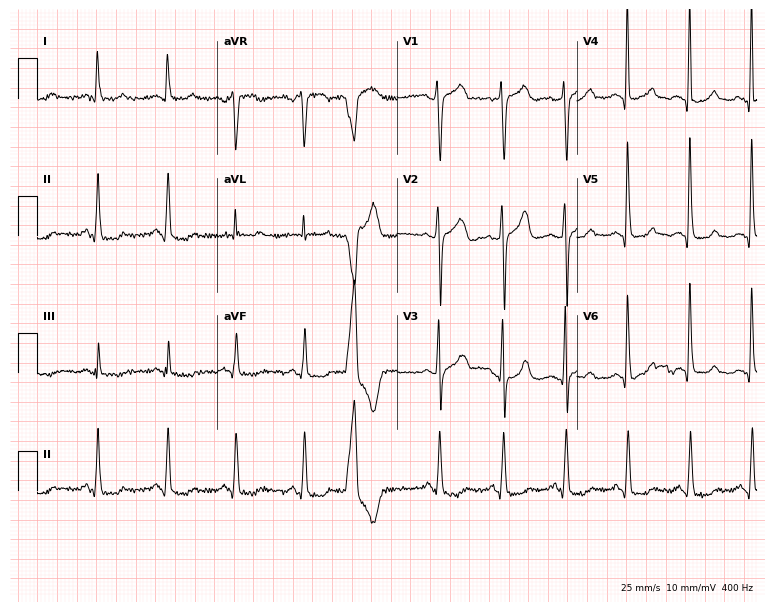
ECG (7.3-second recording at 400 Hz) — a 19-year-old man. Screened for six findings — first-degree AV block, right bundle branch block, left bundle branch block, sinus bradycardia, atrial fibrillation, sinus tachycardia — none is recorded.